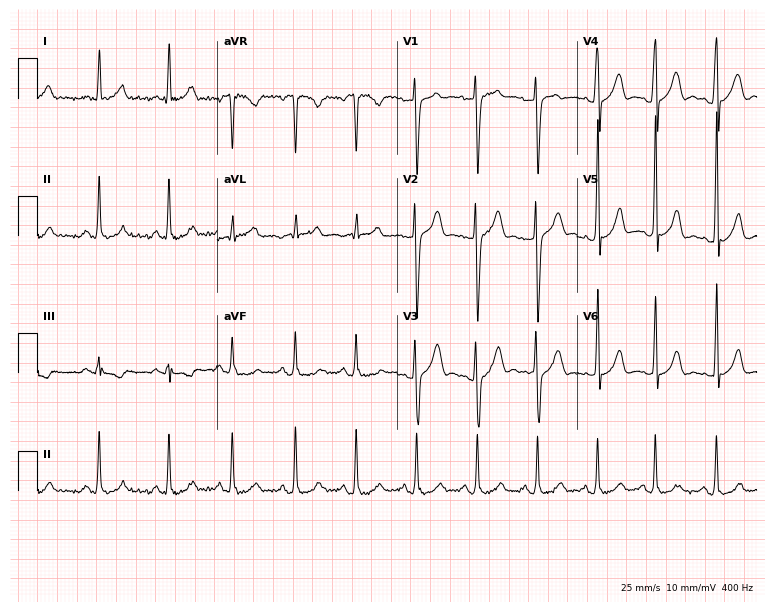
ECG (7.3-second recording at 400 Hz) — a 28-year-old man. Screened for six findings — first-degree AV block, right bundle branch block (RBBB), left bundle branch block (LBBB), sinus bradycardia, atrial fibrillation (AF), sinus tachycardia — none is recorded.